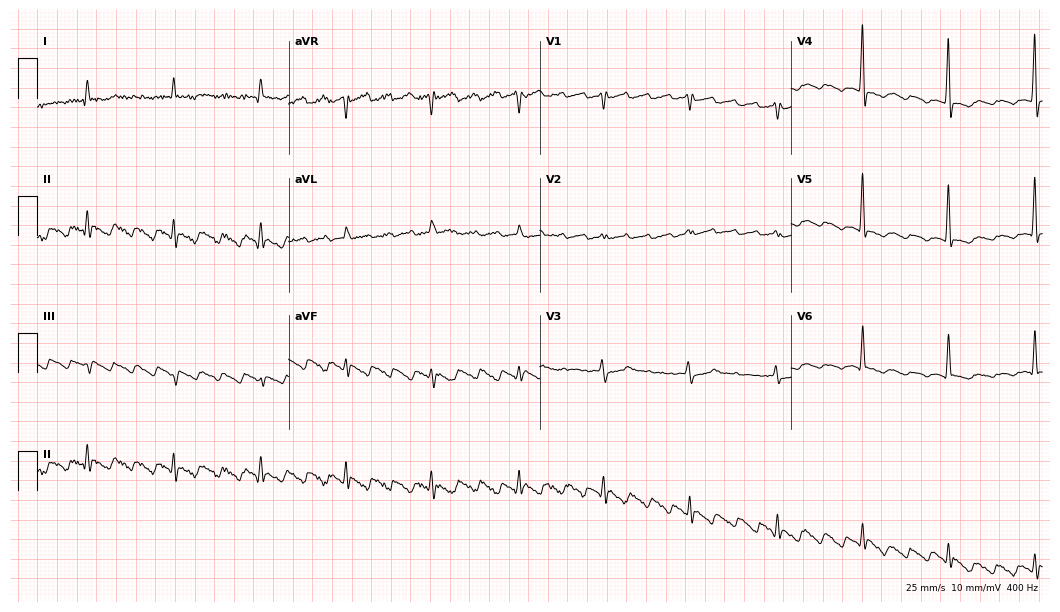
Resting 12-lead electrocardiogram. Patient: a 76-year-old male. None of these six findings is recorded: first-degree AV block, right bundle branch block (RBBB), left bundle branch block (LBBB), sinus bradycardia, atrial fibrillation (AF), sinus tachycardia.